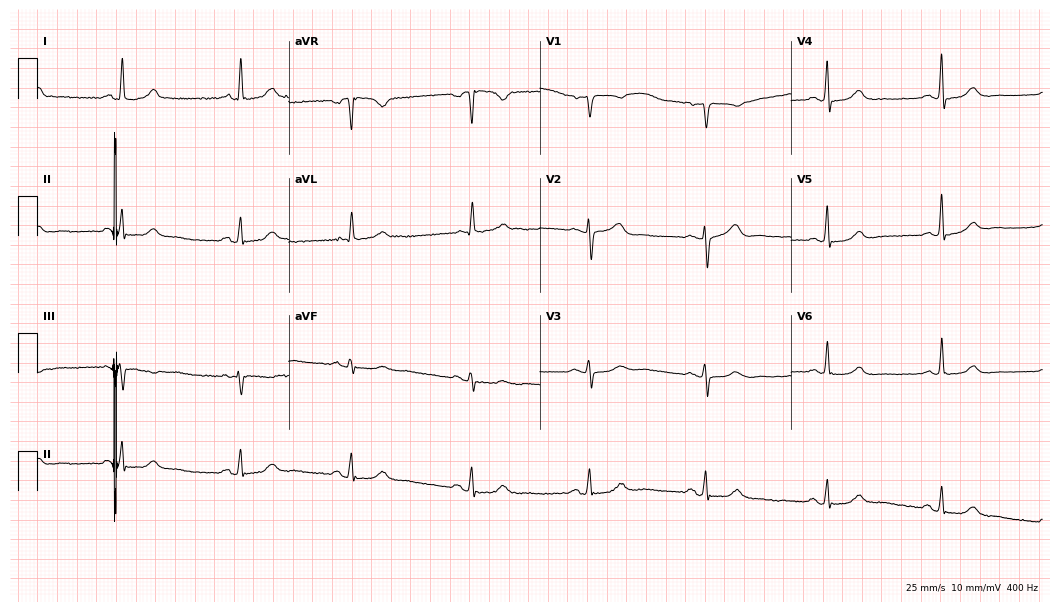
12-lead ECG from a female, 49 years old. Recorded interpretation: within normal limits.